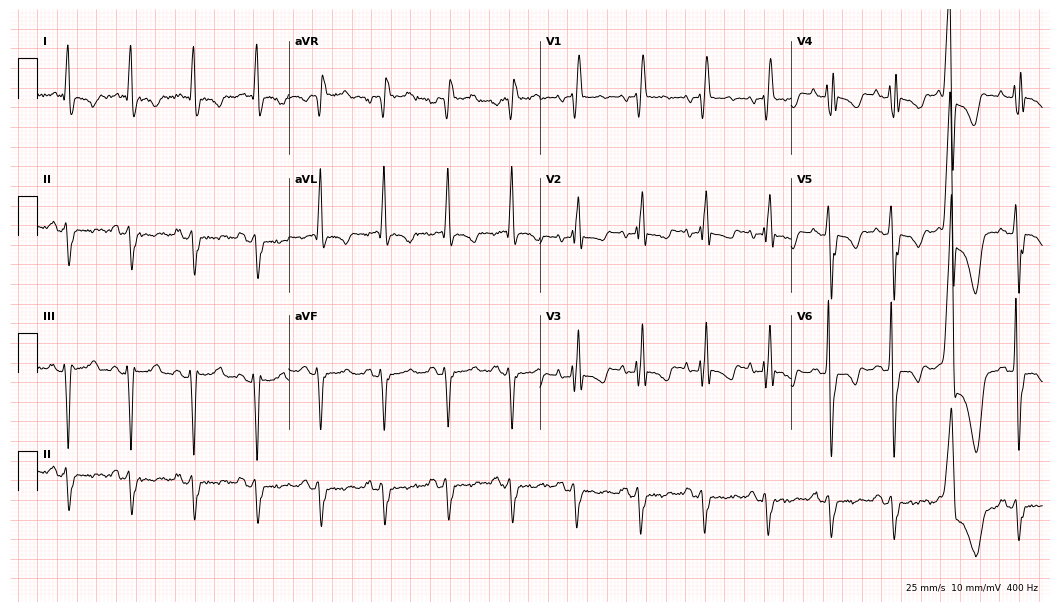
ECG — a male patient, 75 years old. Findings include right bundle branch block (RBBB).